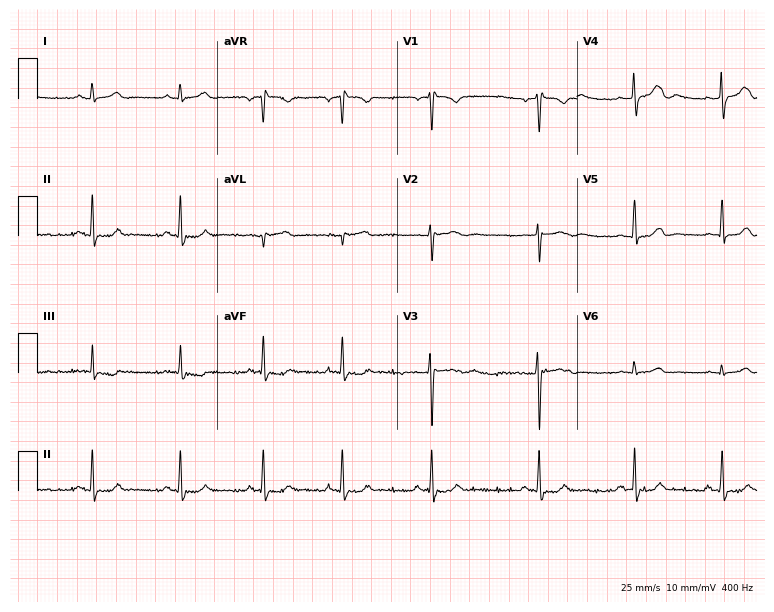
ECG (7.3-second recording at 400 Hz) — a 22-year-old woman. Screened for six findings — first-degree AV block, right bundle branch block, left bundle branch block, sinus bradycardia, atrial fibrillation, sinus tachycardia — none is recorded. Only these six findings were labelled.